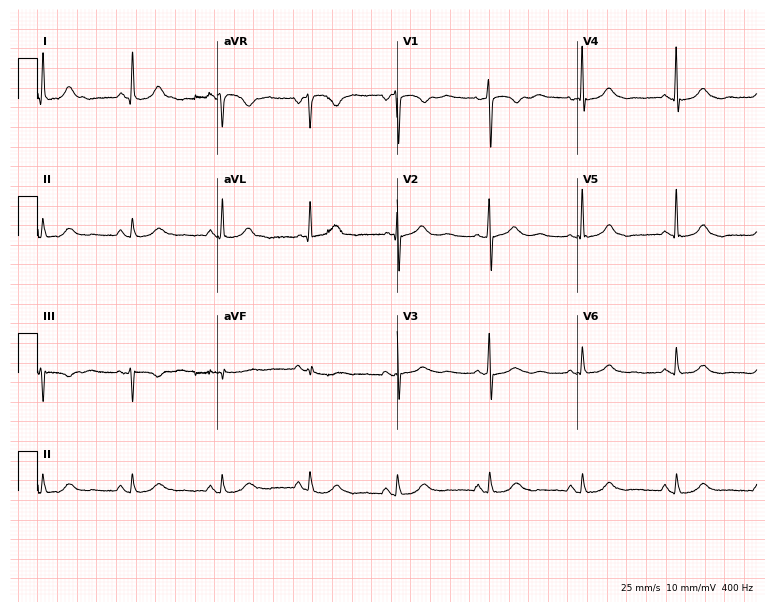
Standard 12-lead ECG recorded from a female patient, 60 years old. Read as a normal ECG.